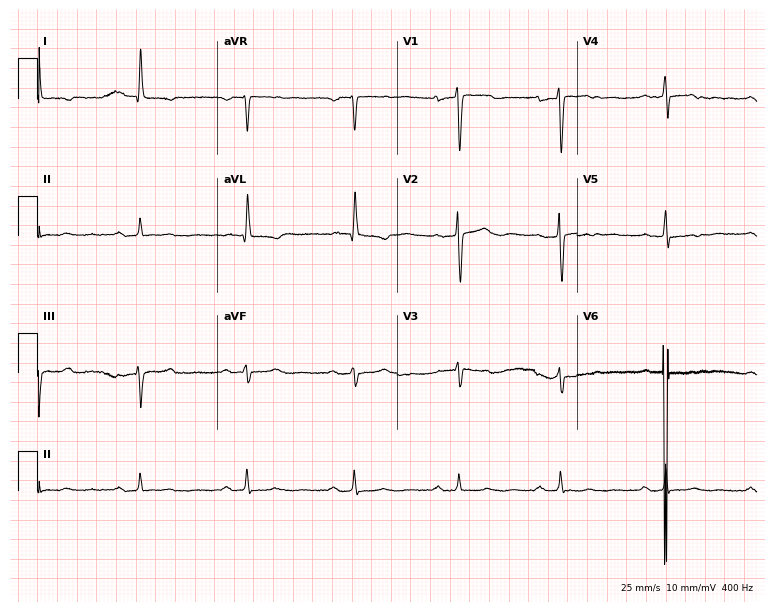
Electrocardiogram, an 82-year-old female patient. Interpretation includes first-degree AV block, atrial fibrillation.